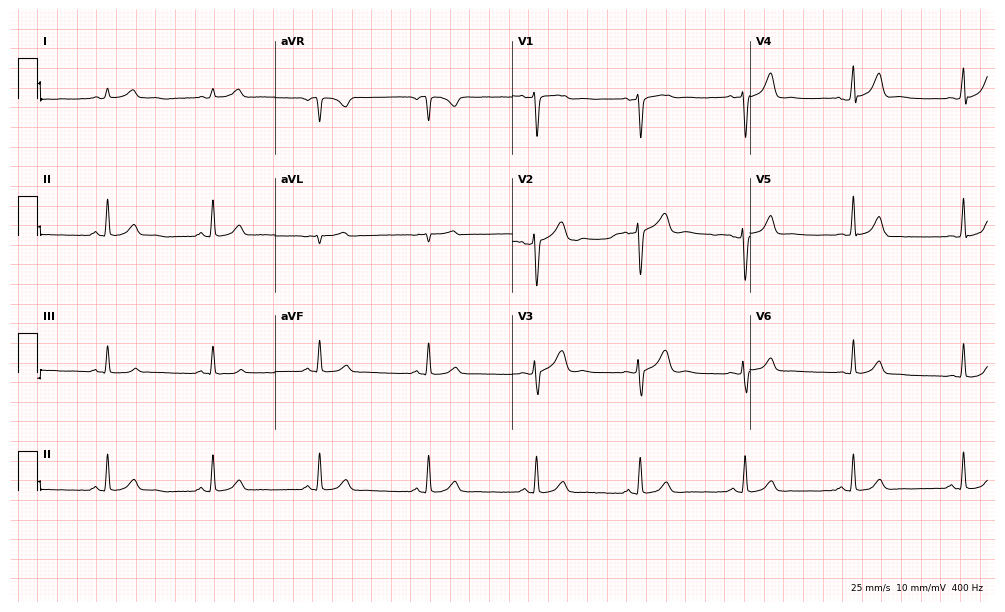
Standard 12-lead ECG recorded from a female patient, 44 years old (9.7-second recording at 400 Hz). Read as a normal ECG.